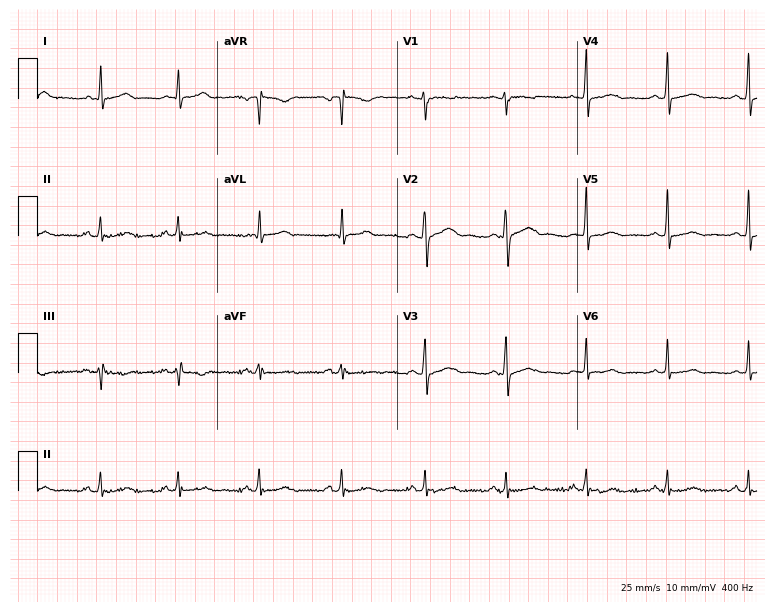
12-lead ECG (7.3-second recording at 400 Hz) from a 32-year-old woman. Labelled as a normal ECG.